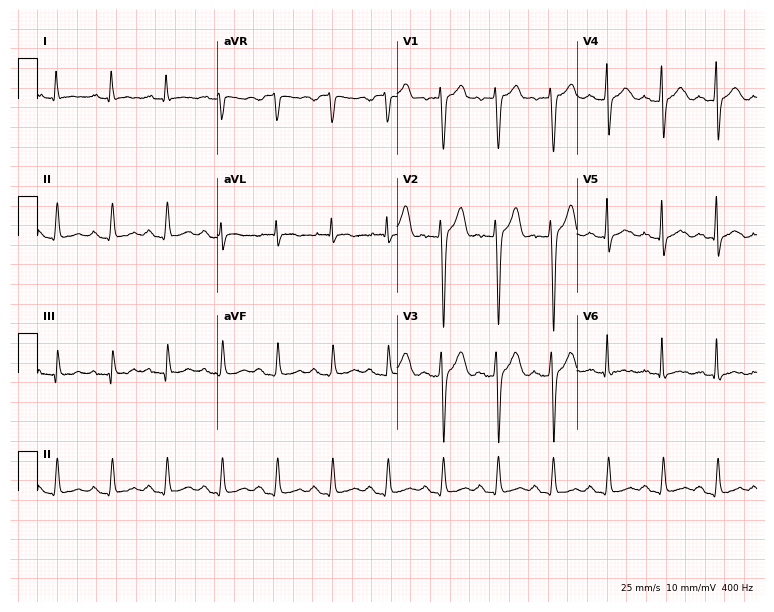
Electrocardiogram (7.3-second recording at 400 Hz), a man, 44 years old. Interpretation includes sinus tachycardia (a sinus rate of 100 beats per minute or more).